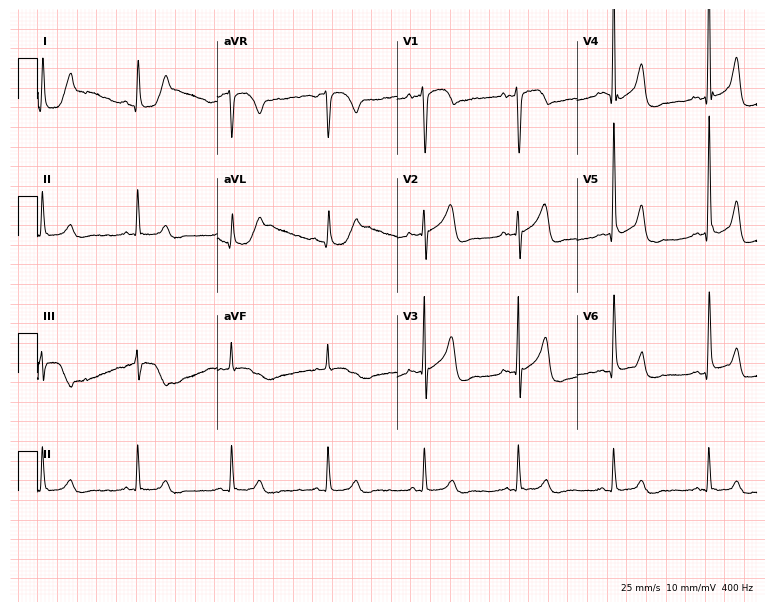
Resting 12-lead electrocardiogram. Patient: a 75-year-old male. None of these six findings is recorded: first-degree AV block, right bundle branch block, left bundle branch block, sinus bradycardia, atrial fibrillation, sinus tachycardia. Other findings, if any, are not listed.